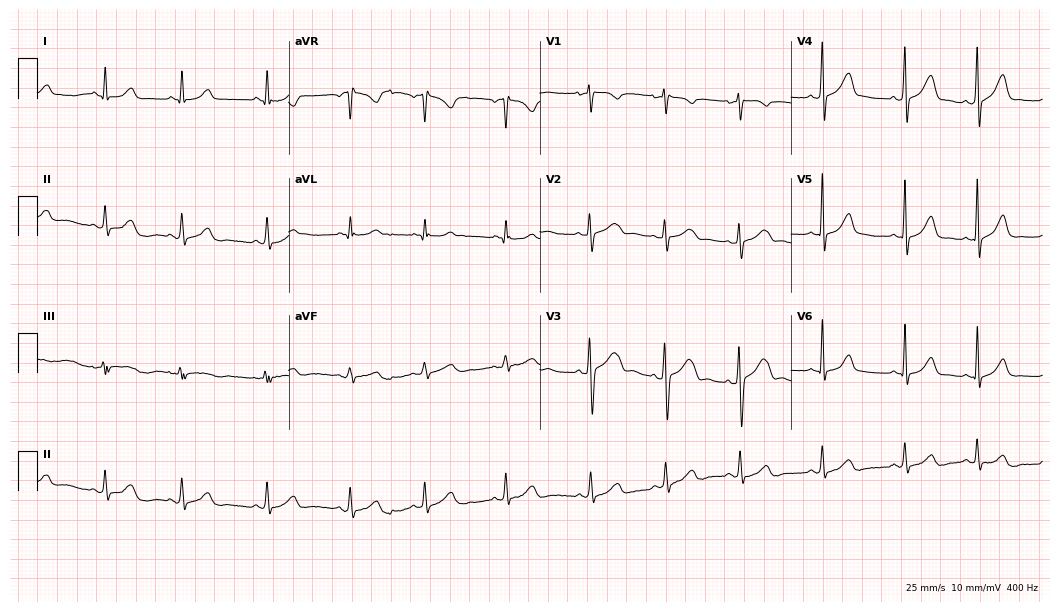
Resting 12-lead electrocardiogram (10.2-second recording at 400 Hz). Patient: a female, 19 years old. Read as a normal ECG.